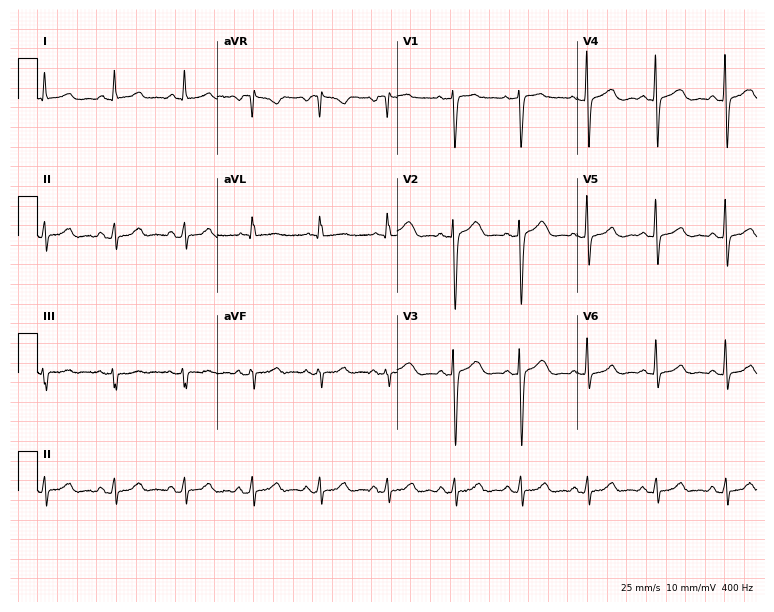
Standard 12-lead ECG recorded from a 43-year-old female patient. None of these six findings is recorded: first-degree AV block, right bundle branch block (RBBB), left bundle branch block (LBBB), sinus bradycardia, atrial fibrillation (AF), sinus tachycardia. Findings outside these six are not listed.